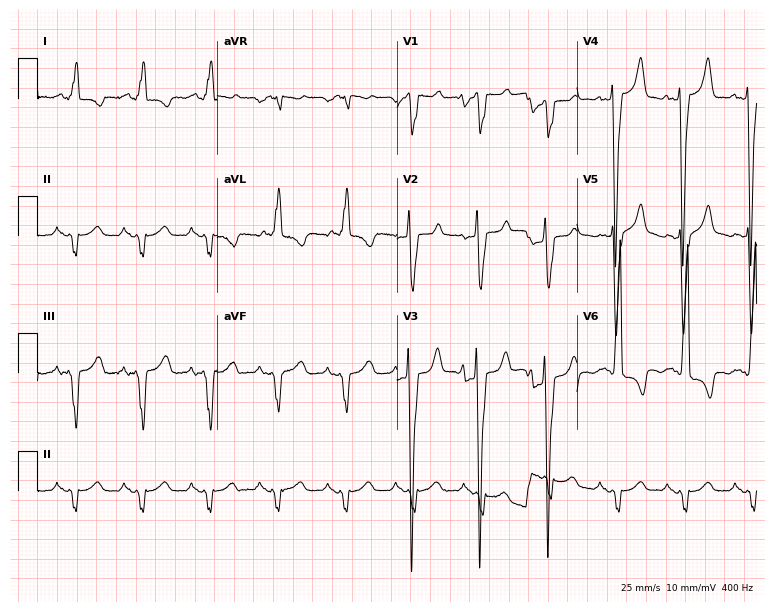
12-lead ECG from a woman, 40 years old (7.3-second recording at 400 Hz). Shows left bundle branch block.